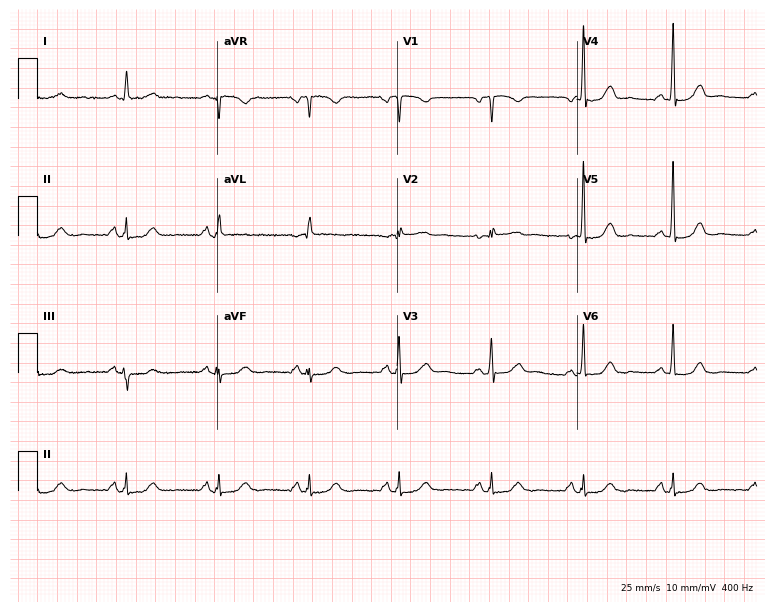
Electrocardiogram, a female patient, 62 years old. Overall reading on record: normal ECG.